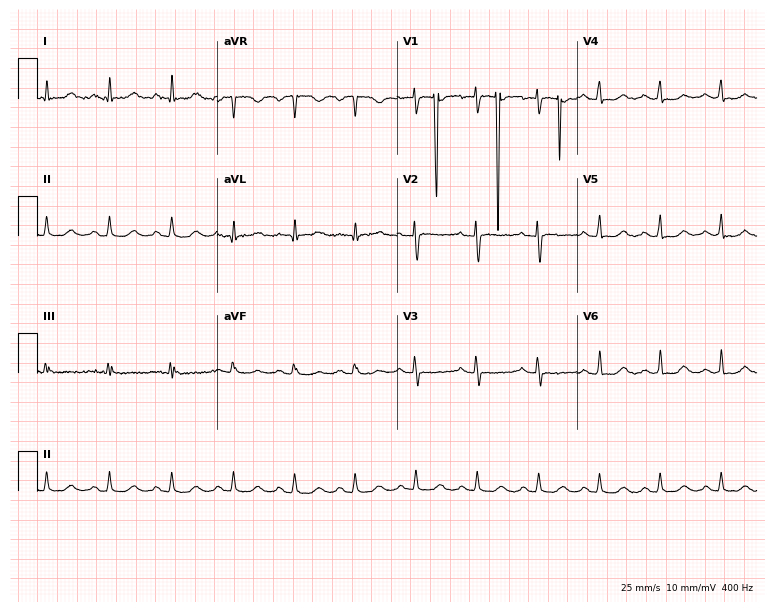
12-lead ECG from a 45-year-old female. Recorded interpretation: within normal limits.